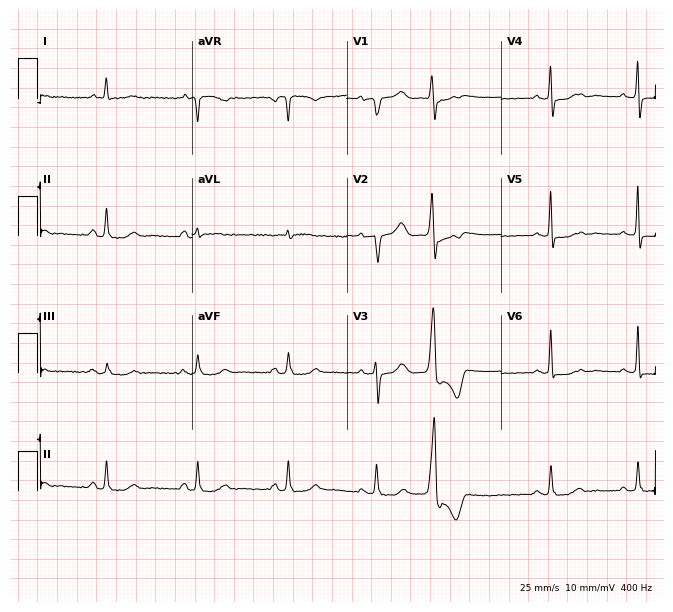
ECG — a female, 77 years old. Screened for six findings — first-degree AV block, right bundle branch block, left bundle branch block, sinus bradycardia, atrial fibrillation, sinus tachycardia — none is recorded.